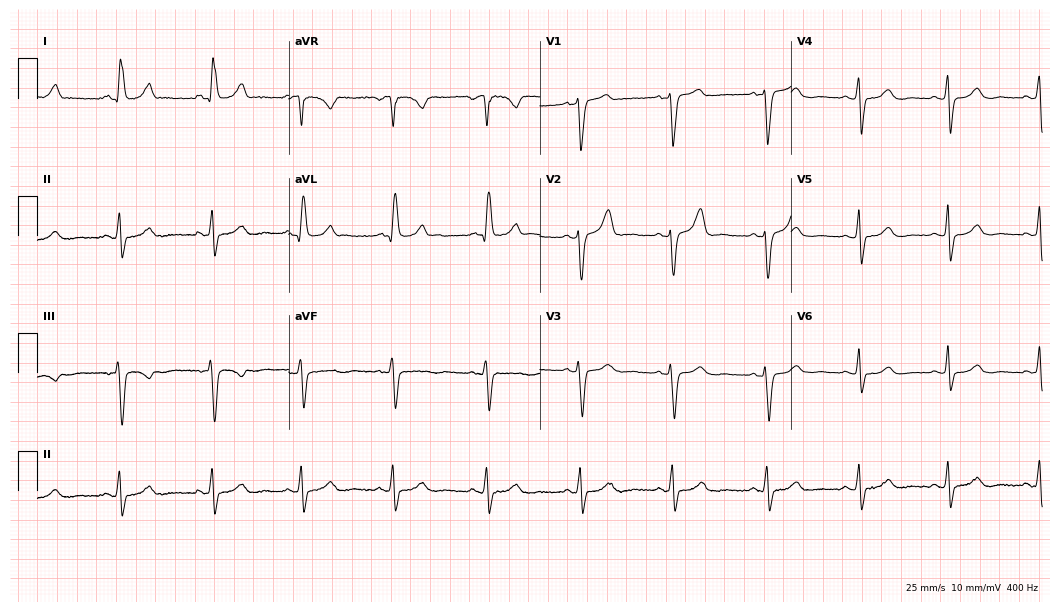
12-lead ECG (10.2-second recording at 400 Hz) from a female patient, 62 years old. Screened for six findings — first-degree AV block, right bundle branch block, left bundle branch block, sinus bradycardia, atrial fibrillation, sinus tachycardia — none is recorded. Findings outside these six are not listed.